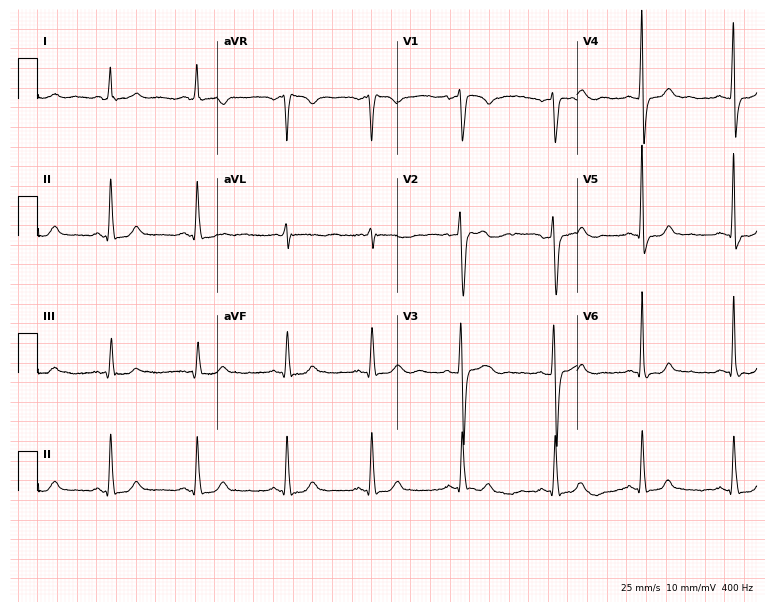
Electrocardiogram, a female, 27 years old. Of the six screened findings (first-degree AV block, right bundle branch block, left bundle branch block, sinus bradycardia, atrial fibrillation, sinus tachycardia), none is recorded.